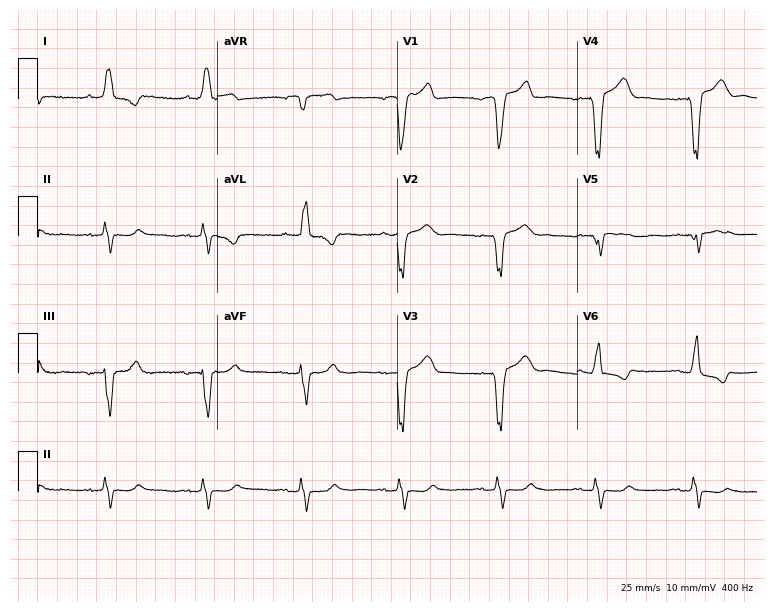
12-lead ECG from a male, 83 years old (7.3-second recording at 400 Hz). Shows left bundle branch block.